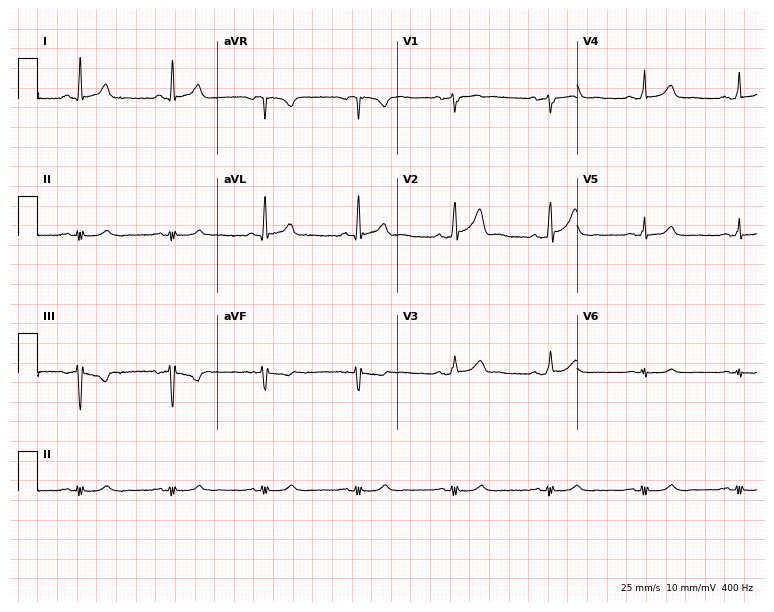
Electrocardiogram (7.3-second recording at 400 Hz), a male patient, 62 years old. Of the six screened findings (first-degree AV block, right bundle branch block, left bundle branch block, sinus bradycardia, atrial fibrillation, sinus tachycardia), none is recorded.